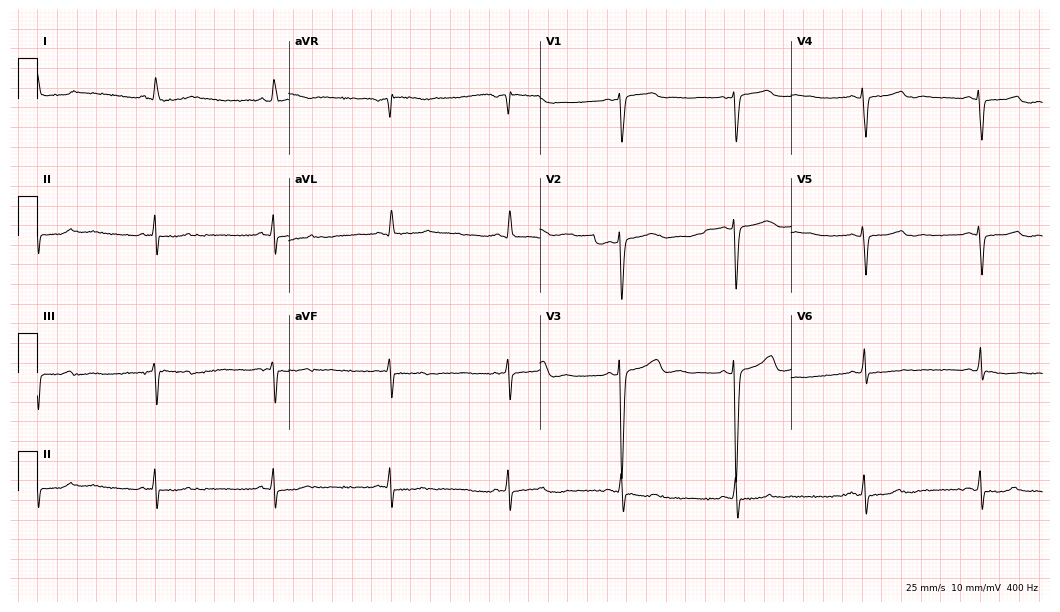
ECG — a man, 79 years old. Findings include sinus bradycardia (a sinus rate of 50 beats per minute or less).